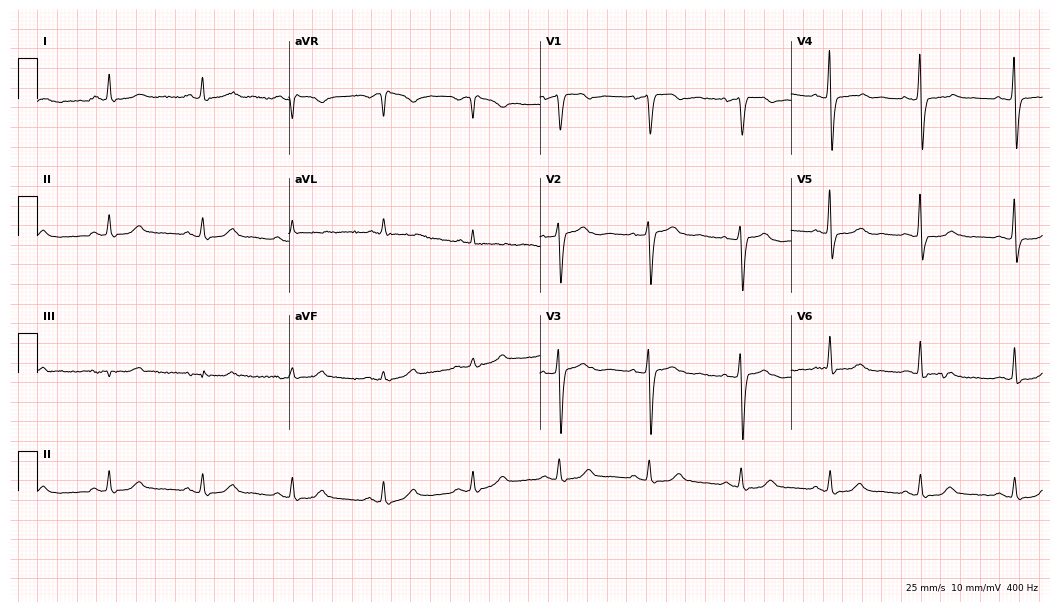
12-lead ECG from a 51-year-old female patient (10.2-second recording at 400 Hz). No first-degree AV block, right bundle branch block, left bundle branch block, sinus bradycardia, atrial fibrillation or sinus tachycardia recorded for this tracing.